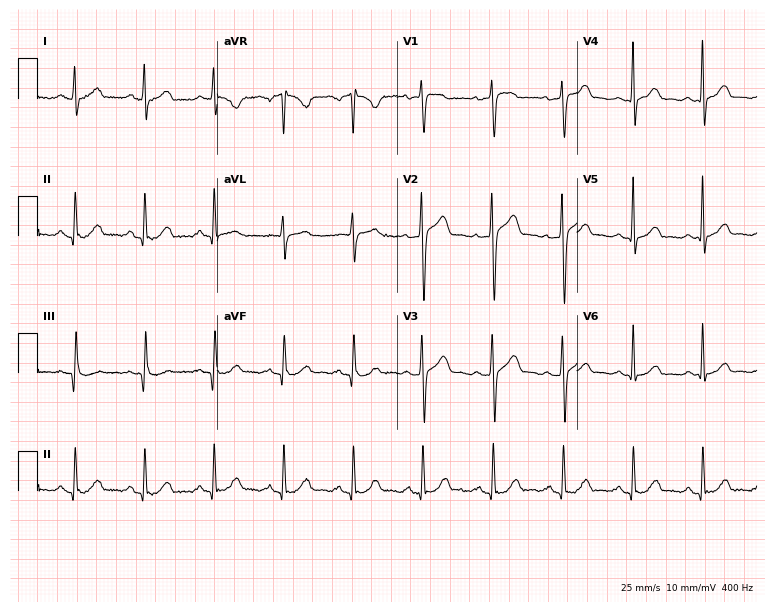
Resting 12-lead electrocardiogram. Patient: a 45-year-old male. None of these six findings is recorded: first-degree AV block, right bundle branch block (RBBB), left bundle branch block (LBBB), sinus bradycardia, atrial fibrillation (AF), sinus tachycardia. Only these six findings were labelled.